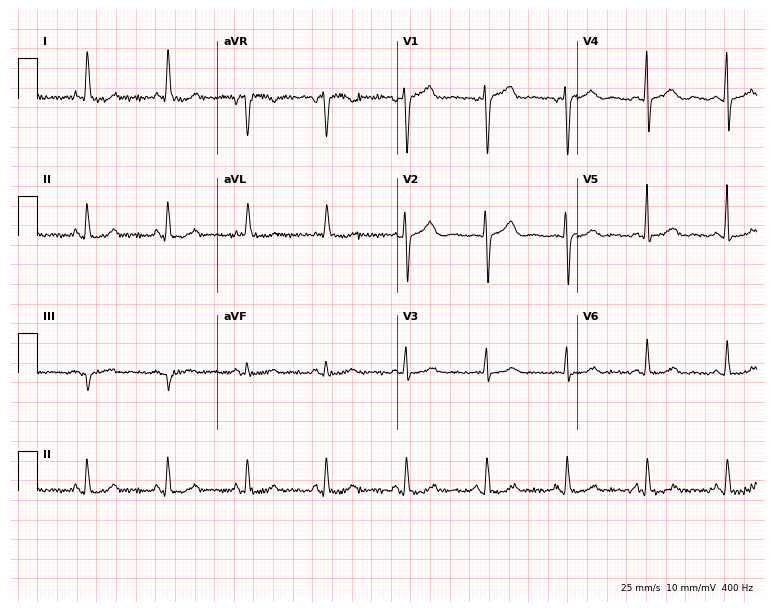
12-lead ECG from a 70-year-old female patient. No first-degree AV block, right bundle branch block (RBBB), left bundle branch block (LBBB), sinus bradycardia, atrial fibrillation (AF) or sinus tachycardia recorded for this tracing. Only these six findings were labelled.